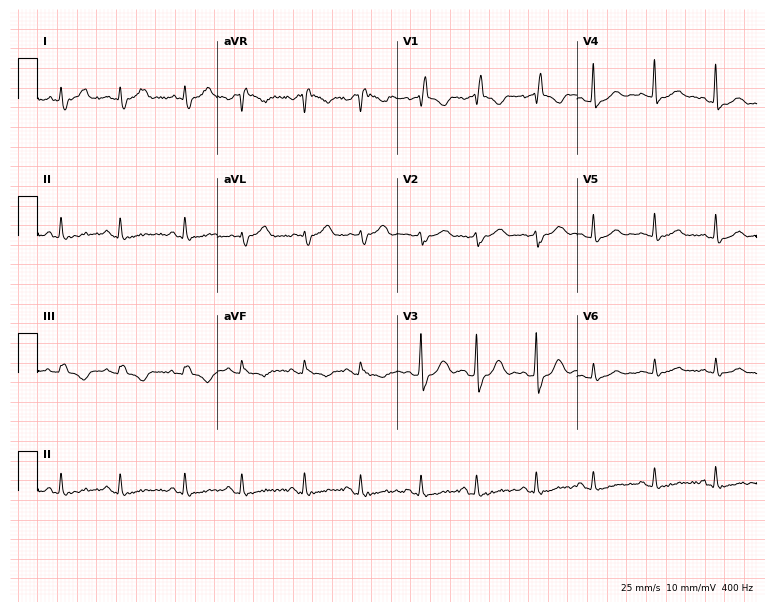
ECG (7.3-second recording at 400 Hz) — a 72-year-old woman. Screened for six findings — first-degree AV block, right bundle branch block, left bundle branch block, sinus bradycardia, atrial fibrillation, sinus tachycardia — none is recorded.